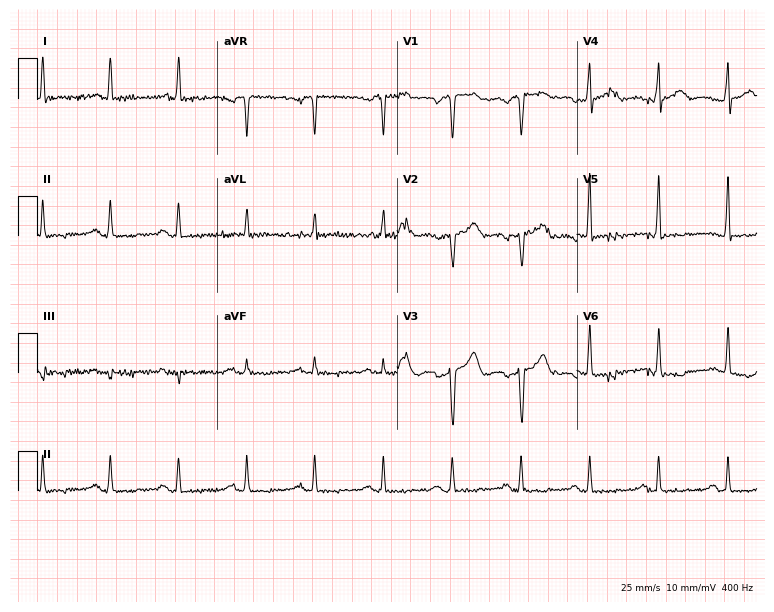
Standard 12-lead ECG recorded from a 67-year-old man. None of these six findings is recorded: first-degree AV block, right bundle branch block, left bundle branch block, sinus bradycardia, atrial fibrillation, sinus tachycardia. Findings outside these six are not listed.